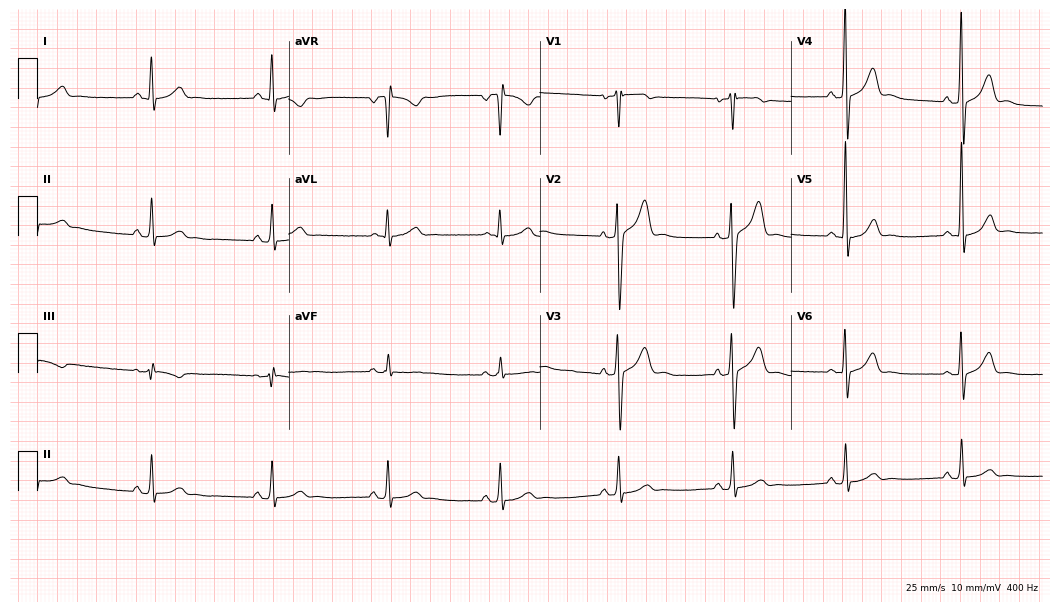
Electrocardiogram, a 55-year-old male. Overall reading on record: normal ECG.